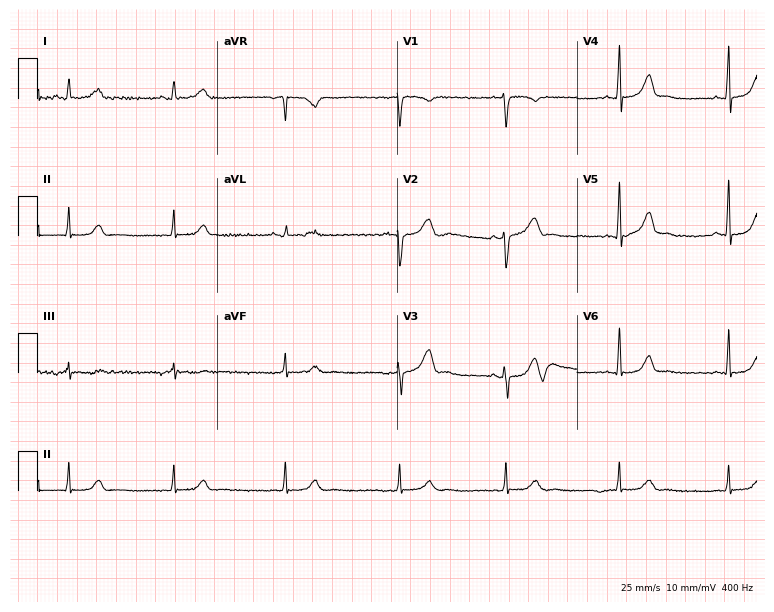
Electrocardiogram, a 34-year-old woman. Of the six screened findings (first-degree AV block, right bundle branch block, left bundle branch block, sinus bradycardia, atrial fibrillation, sinus tachycardia), none is recorded.